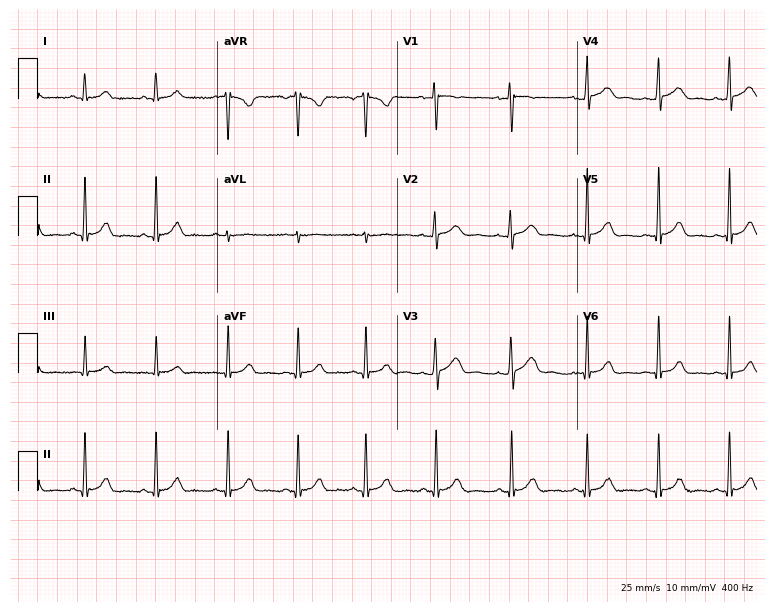
Standard 12-lead ECG recorded from a woman, 20 years old. None of these six findings is recorded: first-degree AV block, right bundle branch block, left bundle branch block, sinus bradycardia, atrial fibrillation, sinus tachycardia. Only these six findings were labelled.